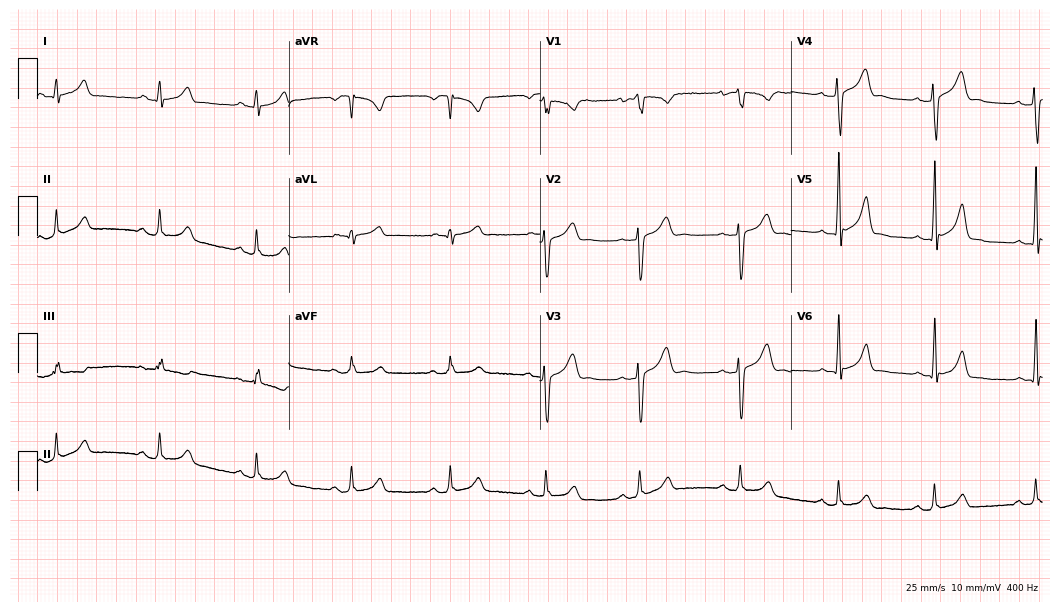
12-lead ECG from a man, 22 years old (10.2-second recording at 400 Hz). Recorded interpretation: within normal limits.